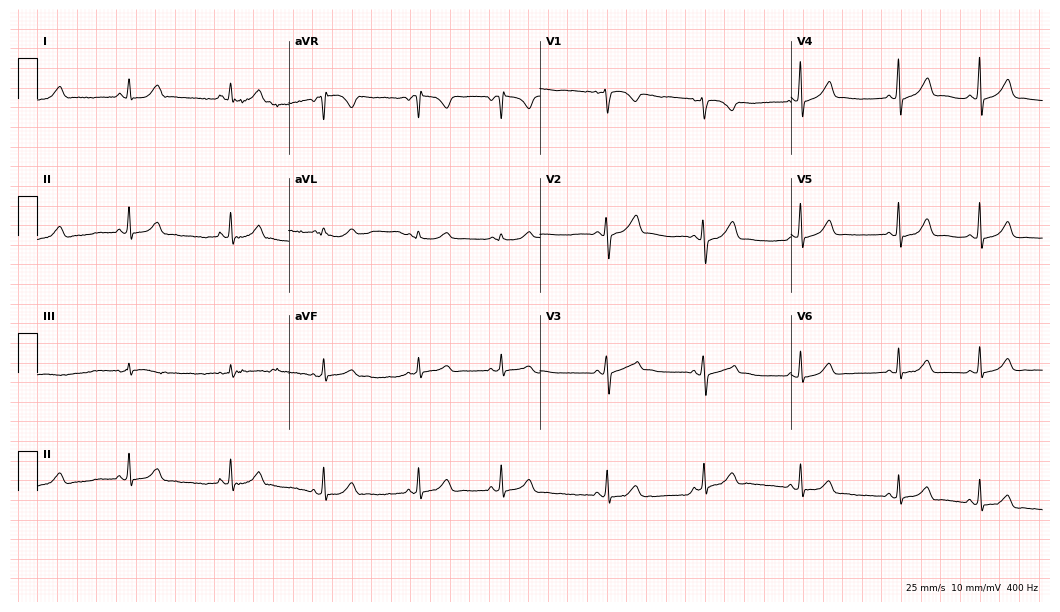
Standard 12-lead ECG recorded from an 18-year-old female patient. Read as a normal ECG.